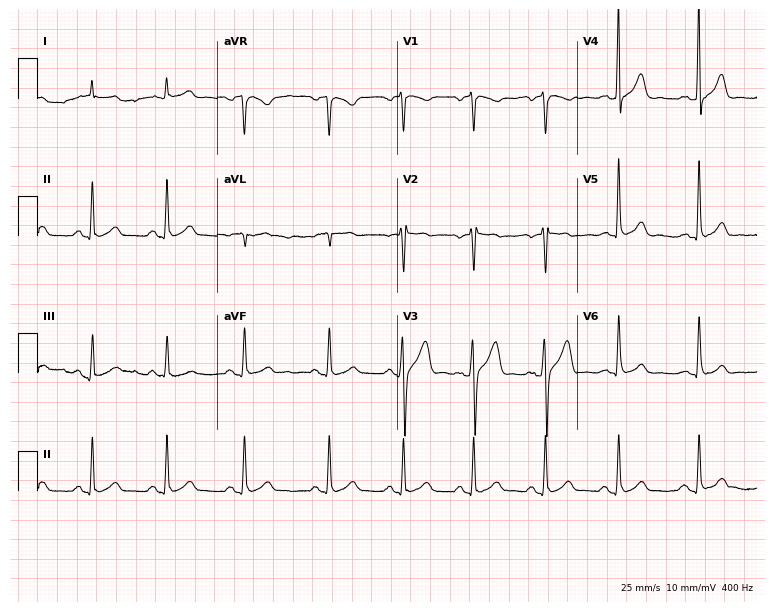
ECG (7.3-second recording at 400 Hz) — a man, 32 years old. Screened for six findings — first-degree AV block, right bundle branch block, left bundle branch block, sinus bradycardia, atrial fibrillation, sinus tachycardia — none is recorded. Only these six findings were labelled.